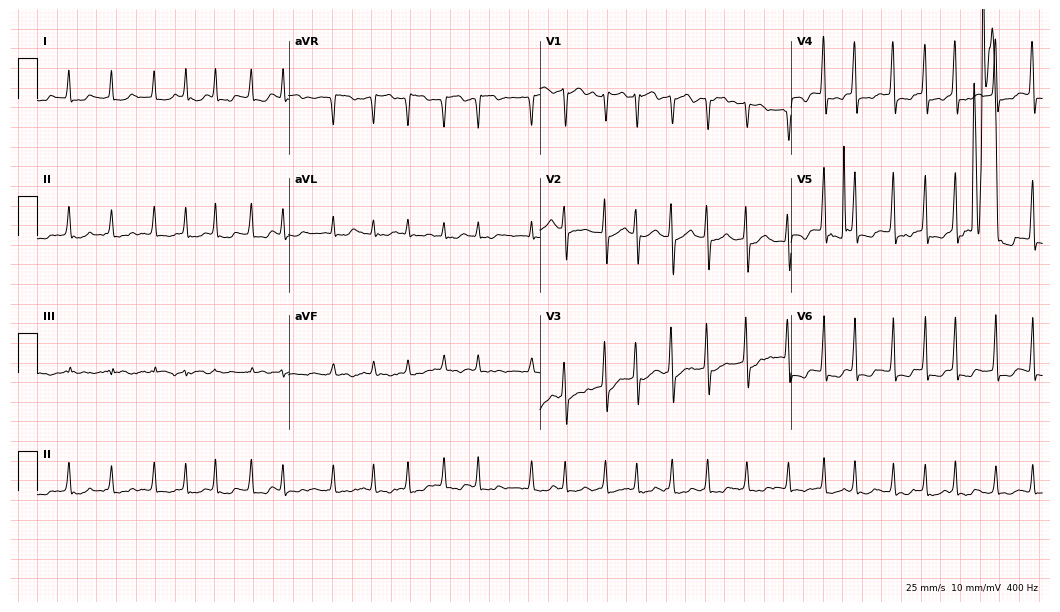
12-lead ECG from an 83-year-old male patient. Findings include atrial fibrillation.